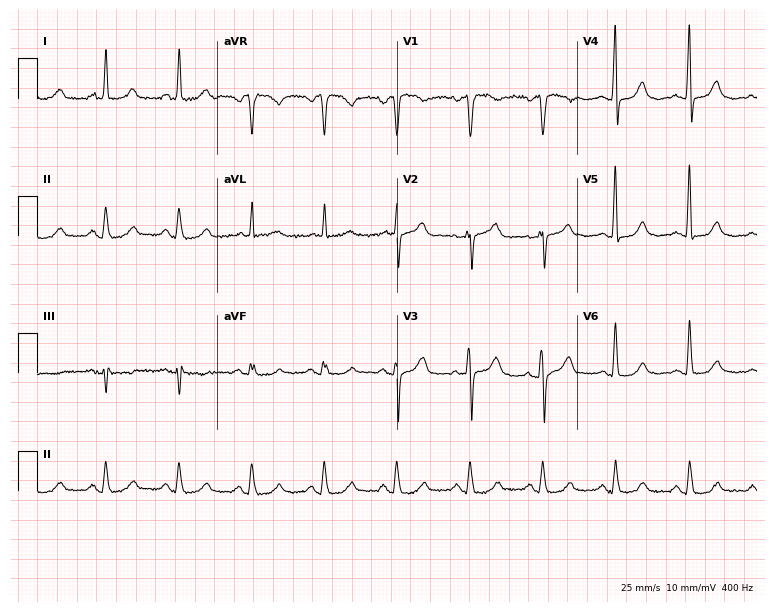
Standard 12-lead ECG recorded from a woman, 57 years old (7.3-second recording at 400 Hz). None of these six findings is recorded: first-degree AV block, right bundle branch block (RBBB), left bundle branch block (LBBB), sinus bradycardia, atrial fibrillation (AF), sinus tachycardia. Other findings, if any, are not listed.